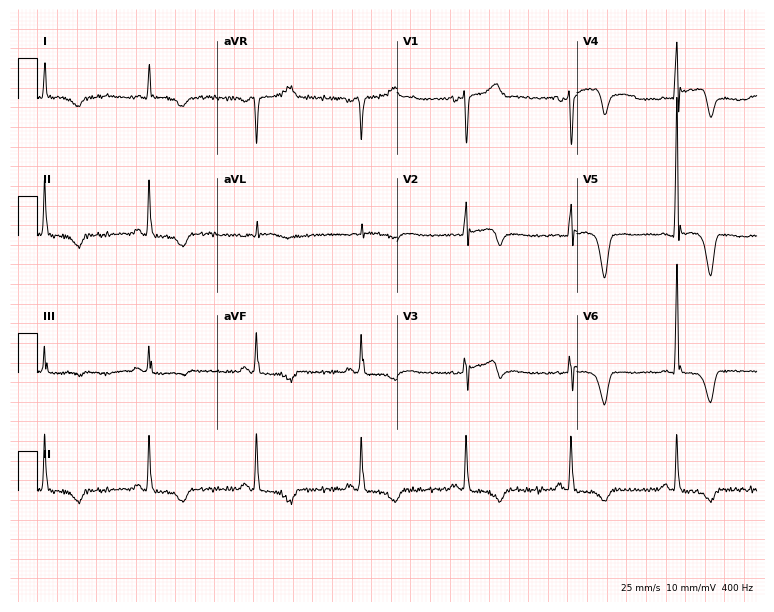
Electrocardiogram, a 64-year-old male. Of the six screened findings (first-degree AV block, right bundle branch block (RBBB), left bundle branch block (LBBB), sinus bradycardia, atrial fibrillation (AF), sinus tachycardia), none is recorded. Findings outside these six are not listed.